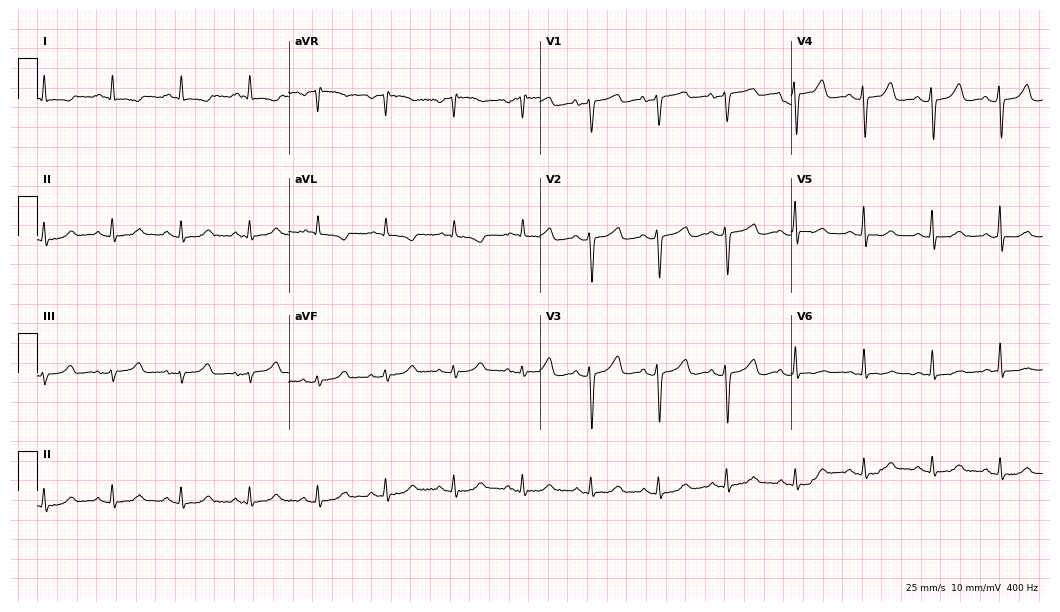
Standard 12-lead ECG recorded from a 67-year-old female patient. None of these six findings is recorded: first-degree AV block, right bundle branch block, left bundle branch block, sinus bradycardia, atrial fibrillation, sinus tachycardia.